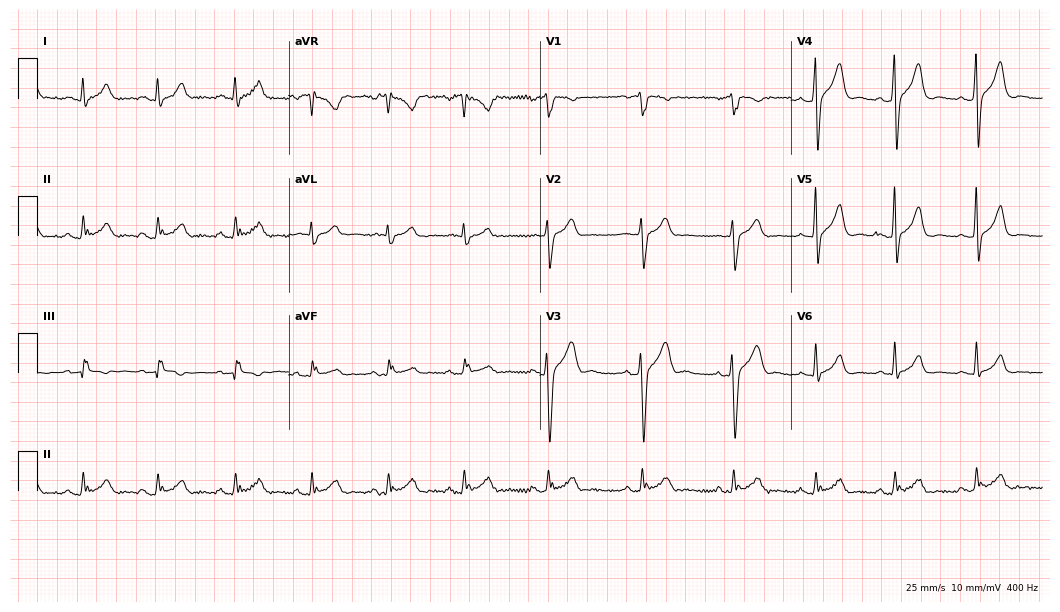
Resting 12-lead electrocardiogram. Patient: a male, 43 years old. None of these six findings is recorded: first-degree AV block, right bundle branch block, left bundle branch block, sinus bradycardia, atrial fibrillation, sinus tachycardia. Findings outside these six are not listed.